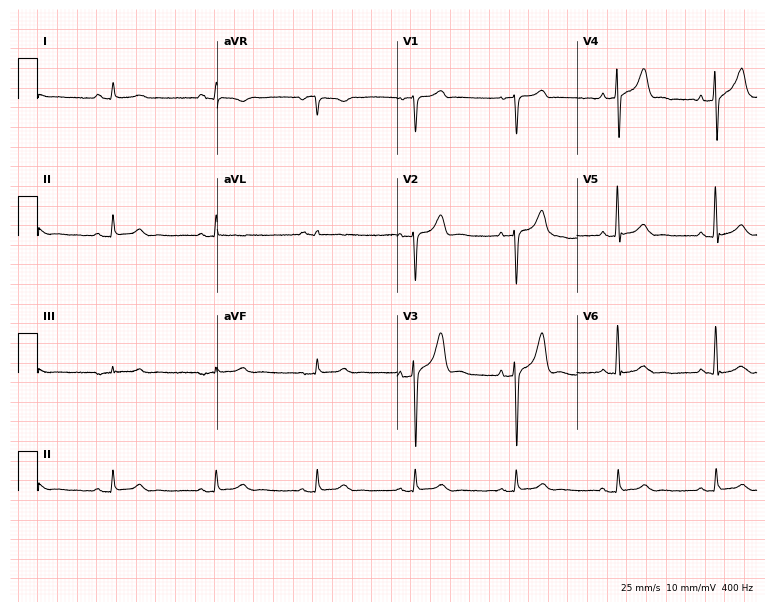
12-lead ECG (7.3-second recording at 400 Hz) from a male patient, 60 years old. Labelled as a normal ECG.